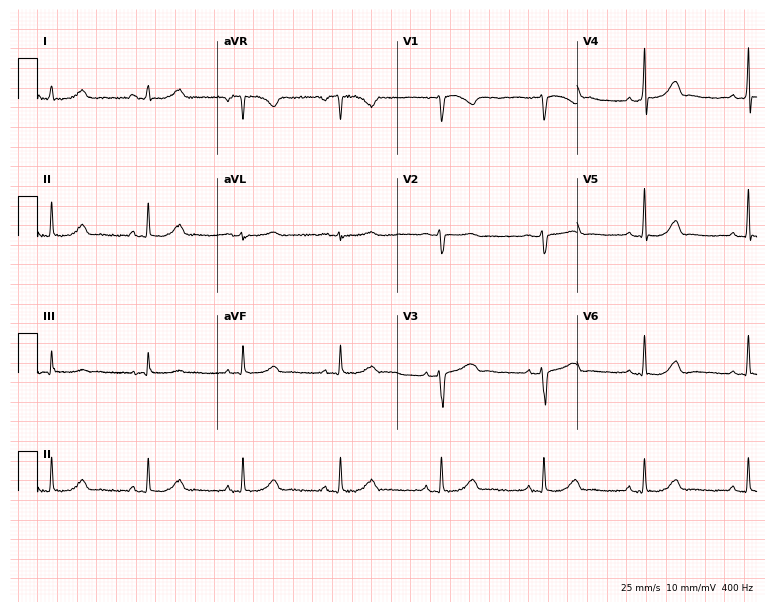
Standard 12-lead ECG recorded from a 34-year-old female (7.3-second recording at 400 Hz). Read as a normal ECG.